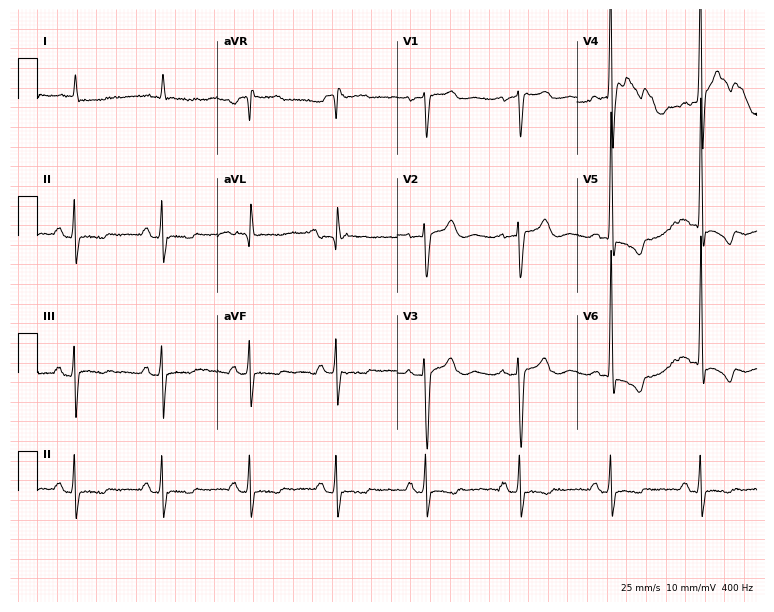
ECG — a female patient, 85 years old. Screened for six findings — first-degree AV block, right bundle branch block, left bundle branch block, sinus bradycardia, atrial fibrillation, sinus tachycardia — none is recorded.